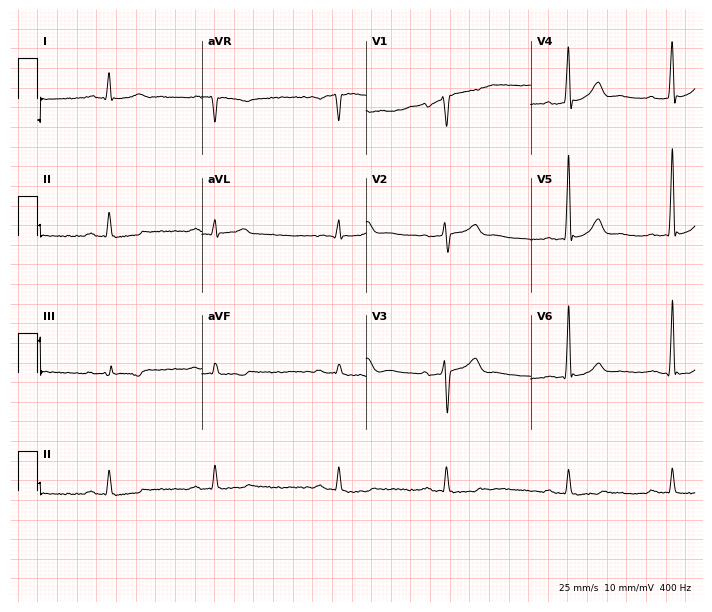
12-lead ECG from a 67-year-old male patient. Findings include first-degree AV block.